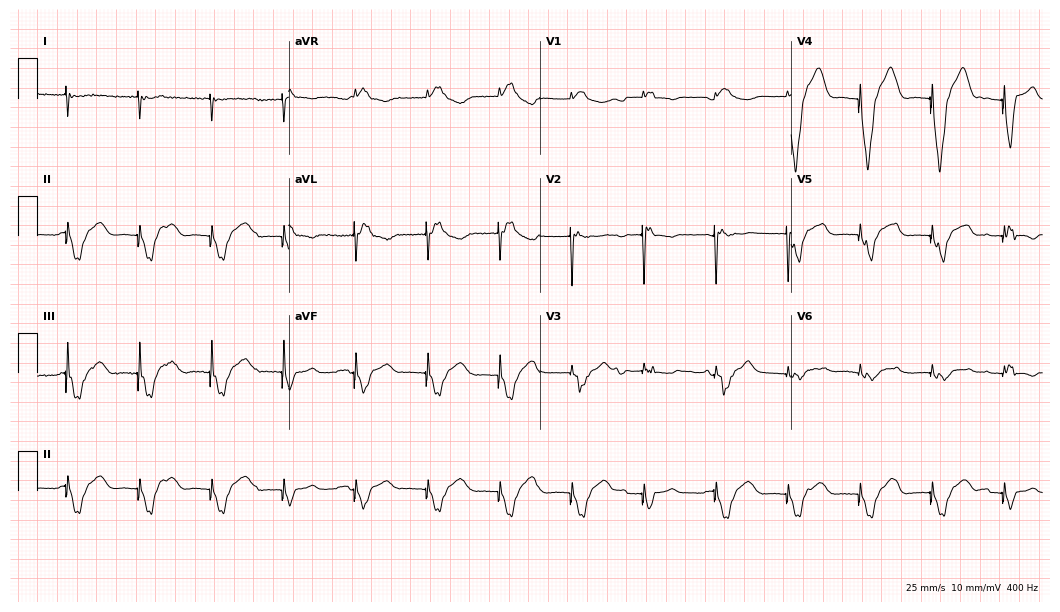
Standard 12-lead ECG recorded from a 66-year-old male. None of these six findings is recorded: first-degree AV block, right bundle branch block (RBBB), left bundle branch block (LBBB), sinus bradycardia, atrial fibrillation (AF), sinus tachycardia. Other findings, if any, are not listed.